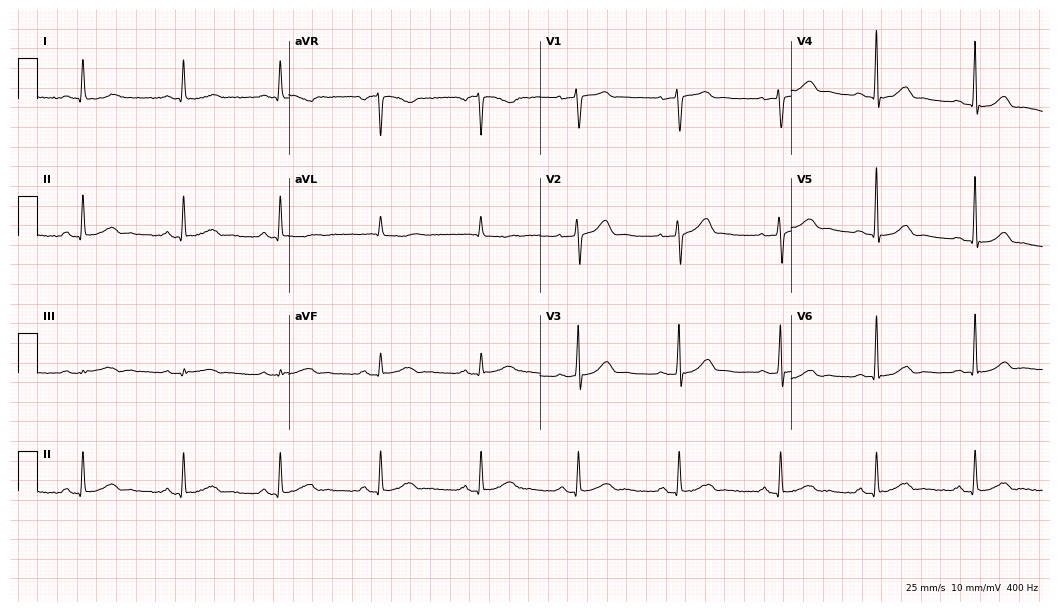
Electrocardiogram, a female patient, 55 years old. Of the six screened findings (first-degree AV block, right bundle branch block (RBBB), left bundle branch block (LBBB), sinus bradycardia, atrial fibrillation (AF), sinus tachycardia), none is recorded.